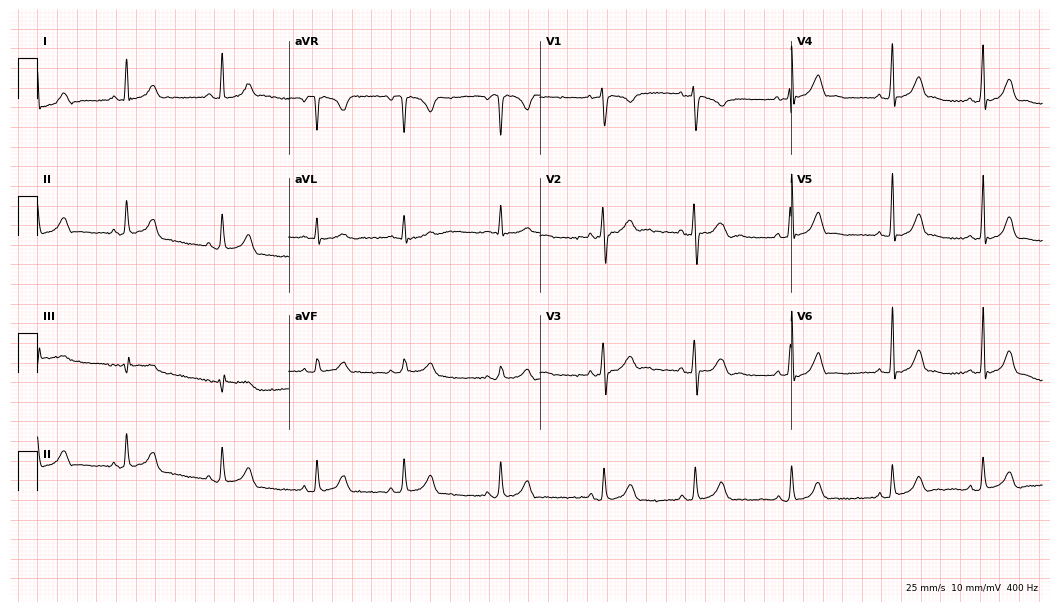
Resting 12-lead electrocardiogram. Patient: a 23-year-old woman. None of these six findings is recorded: first-degree AV block, right bundle branch block (RBBB), left bundle branch block (LBBB), sinus bradycardia, atrial fibrillation (AF), sinus tachycardia. Other findings, if any, are not listed.